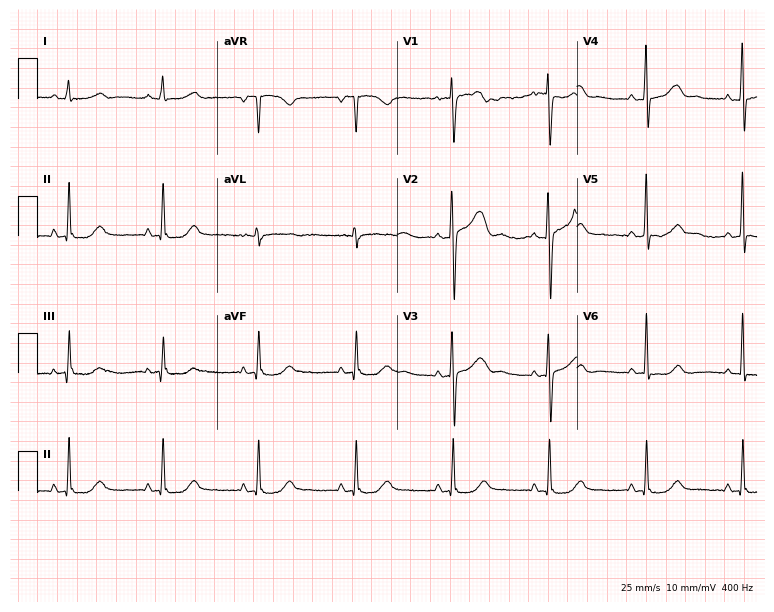
12-lead ECG from a 66-year-old female. No first-degree AV block, right bundle branch block (RBBB), left bundle branch block (LBBB), sinus bradycardia, atrial fibrillation (AF) or sinus tachycardia recorded for this tracing.